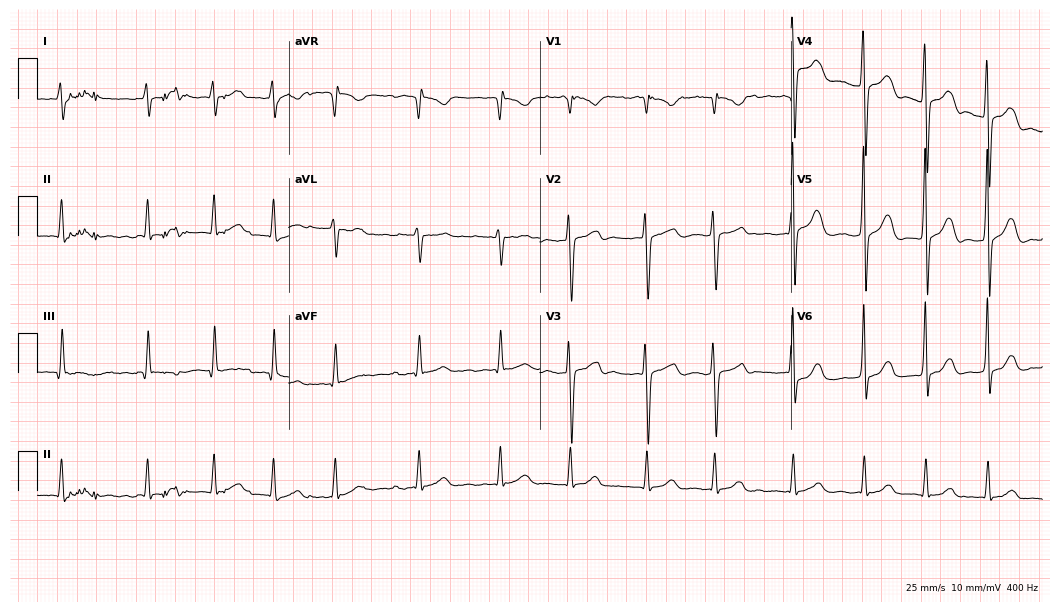
12-lead ECG (10.2-second recording at 400 Hz) from a 48-year-old male. Findings include atrial fibrillation.